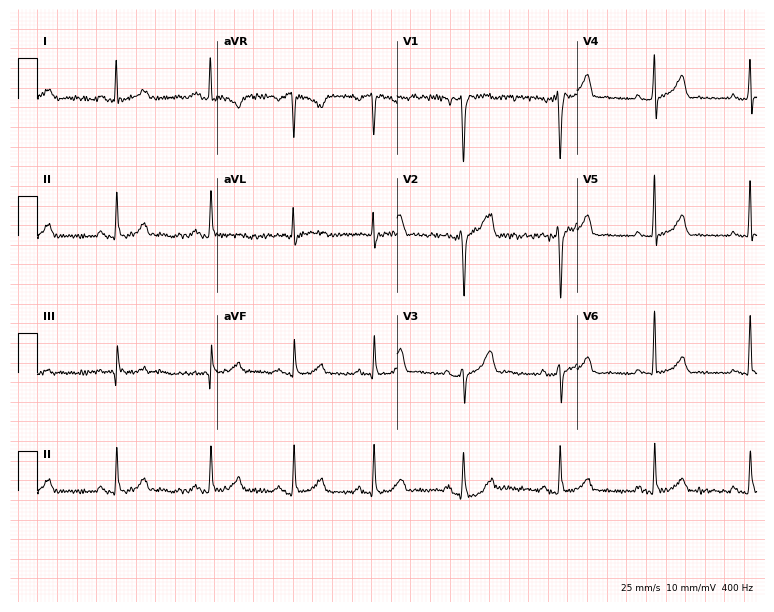
ECG — a man, 47 years old. Labelled as a normal ECG.